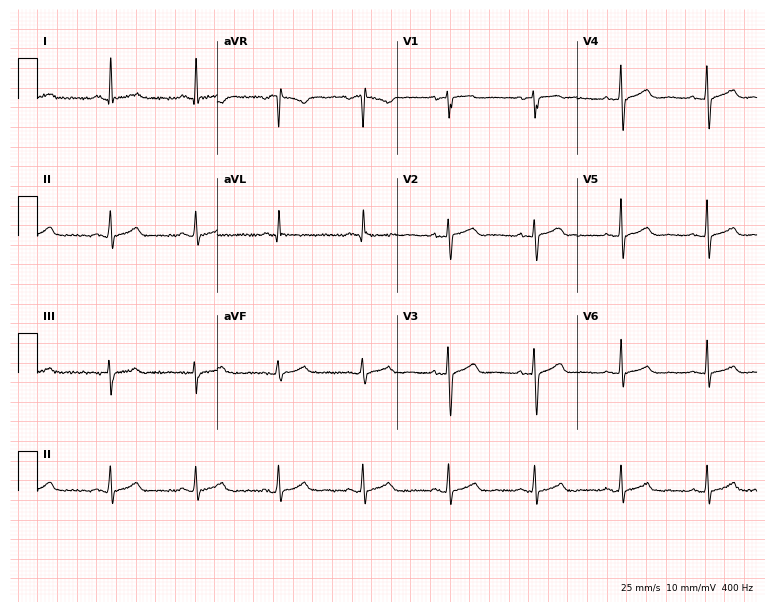
Resting 12-lead electrocardiogram (7.3-second recording at 400 Hz). Patient: a 74-year-old female. None of these six findings is recorded: first-degree AV block, right bundle branch block (RBBB), left bundle branch block (LBBB), sinus bradycardia, atrial fibrillation (AF), sinus tachycardia. Other findings, if any, are not listed.